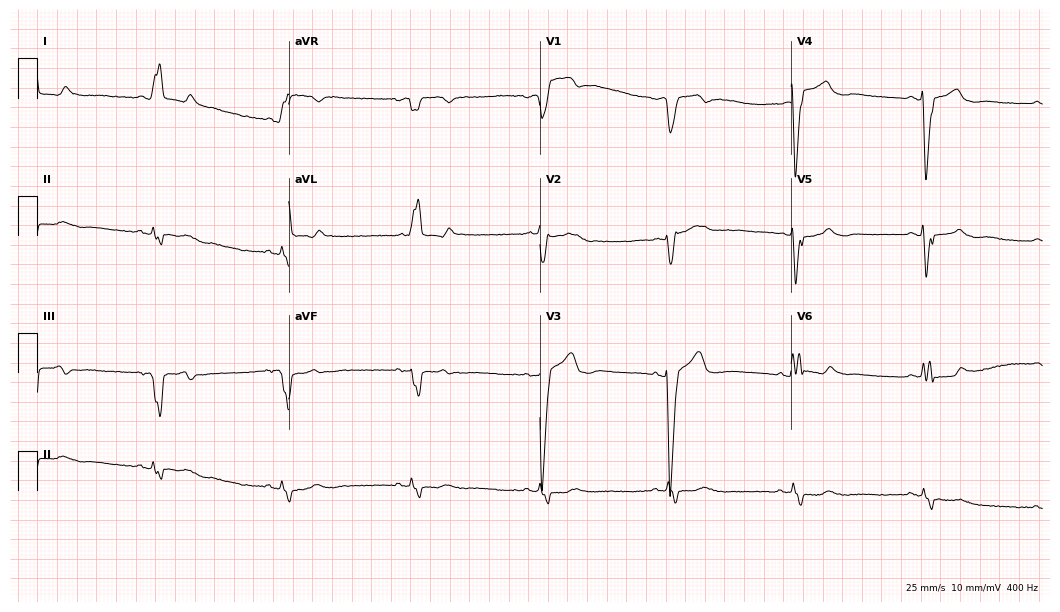
Resting 12-lead electrocardiogram (10.2-second recording at 400 Hz). Patient: an 80-year-old man. The tracing shows left bundle branch block, sinus bradycardia (a sinus rate of 50 beats per minute or less).